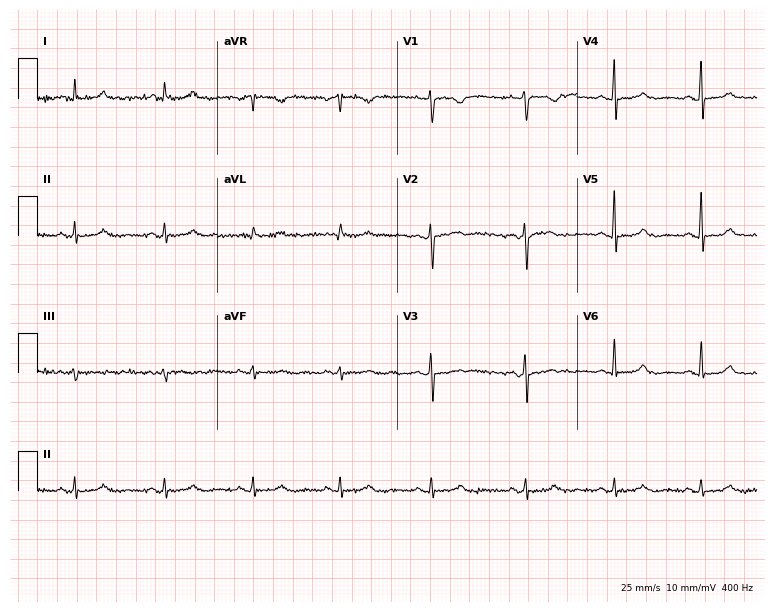
12-lead ECG from a 47-year-old woman. Screened for six findings — first-degree AV block, right bundle branch block (RBBB), left bundle branch block (LBBB), sinus bradycardia, atrial fibrillation (AF), sinus tachycardia — none is recorded.